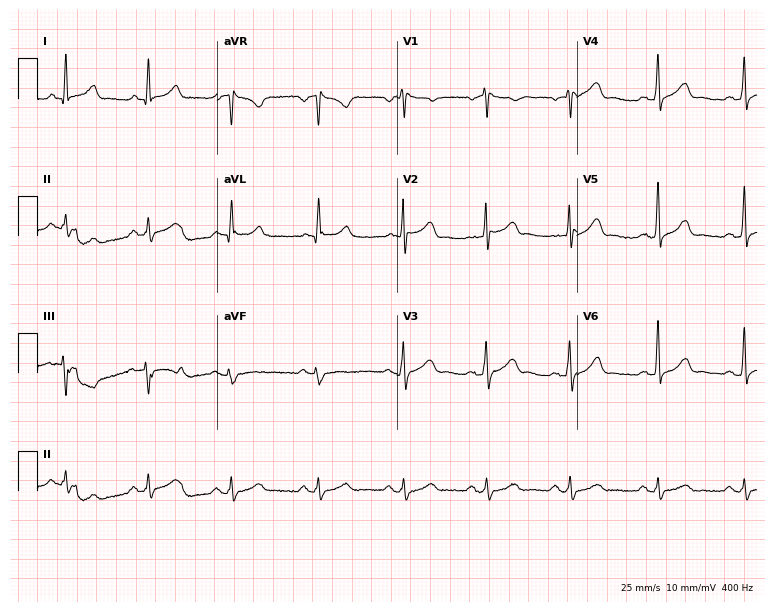
12-lead ECG (7.3-second recording at 400 Hz) from a man, 62 years old. Screened for six findings — first-degree AV block, right bundle branch block (RBBB), left bundle branch block (LBBB), sinus bradycardia, atrial fibrillation (AF), sinus tachycardia — none is recorded.